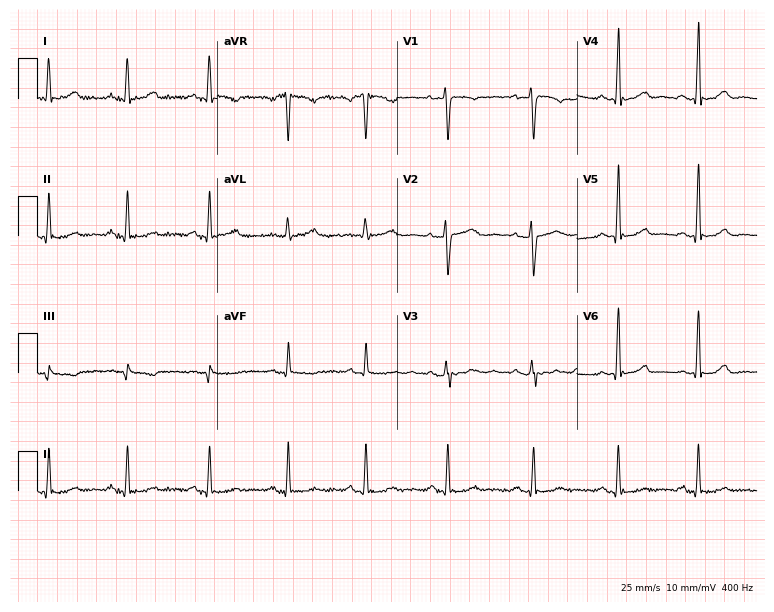
12-lead ECG from a female, 46 years old (7.3-second recording at 400 Hz). No first-degree AV block, right bundle branch block (RBBB), left bundle branch block (LBBB), sinus bradycardia, atrial fibrillation (AF) or sinus tachycardia recorded for this tracing.